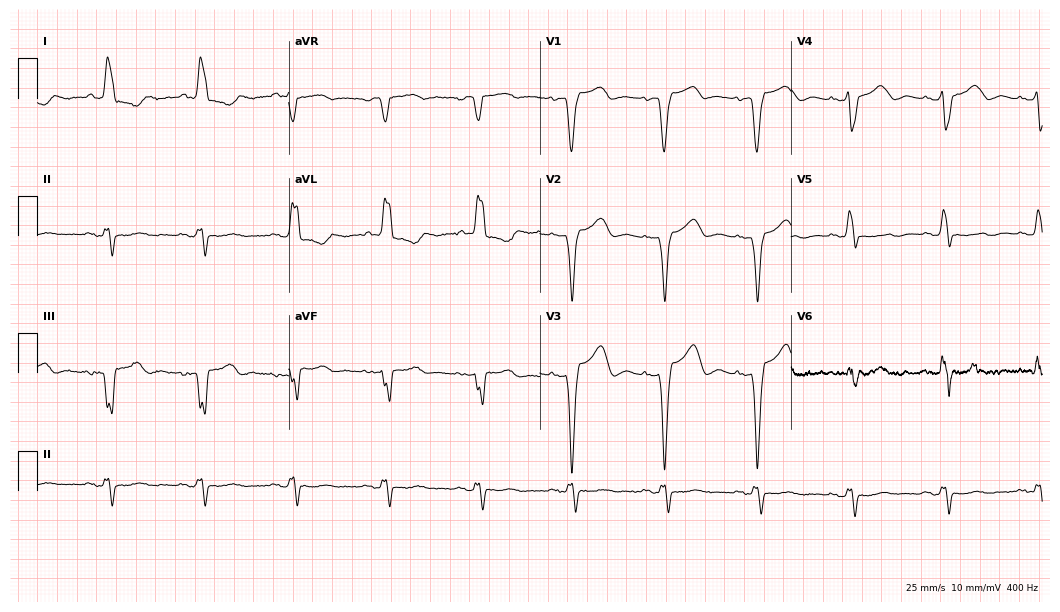
Standard 12-lead ECG recorded from a female patient, 80 years old (10.2-second recording at 400 Hz). None of these six findings is recorded: first-degree AV block, right bundle branch block, left bundle branch block, sinus bradycardia, atrial fibrillation, sinus tachycardia. Other findings, if any, are not listed.